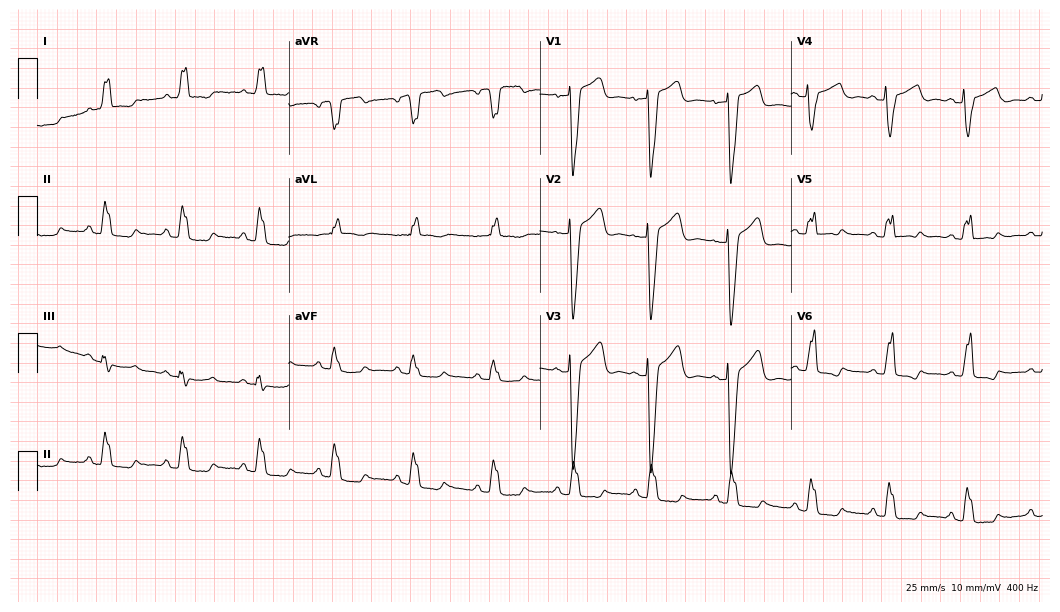
ECG (10.2-second recording at 400 Hz) — a 69-year-old woman. Findings include left bundle branch block.